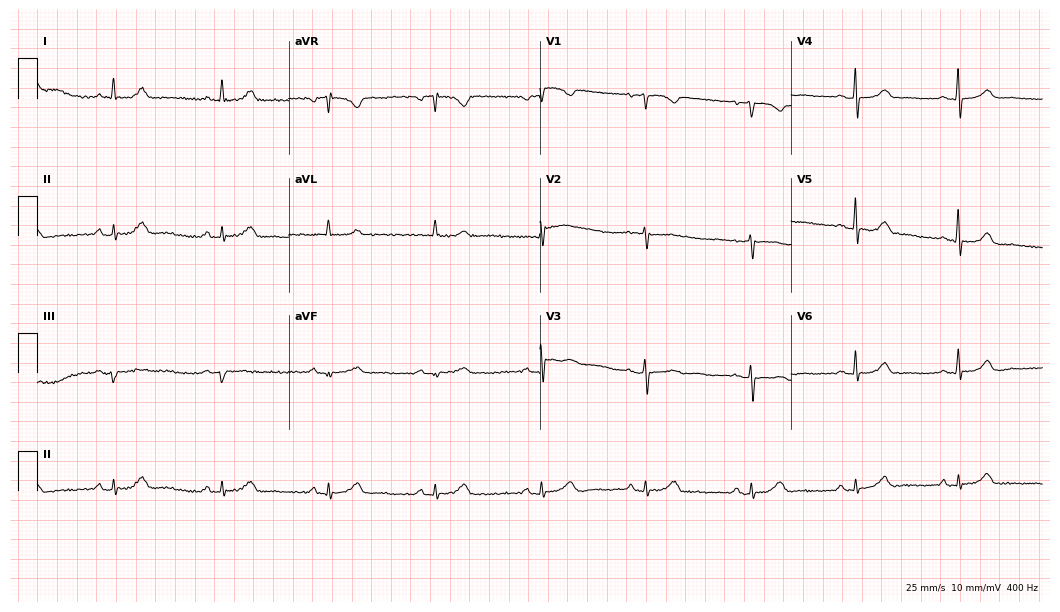
12-lead ECG from a 73-year-old female patient. Screened for six findings — first-degree AV block, right bundle branch block (RBBB), left bundle branch block (LBBB), sinus bradycardia, atrial fibrillation (AF), sinus tachycardia — none is recorded. Findings outside these six are not listed.